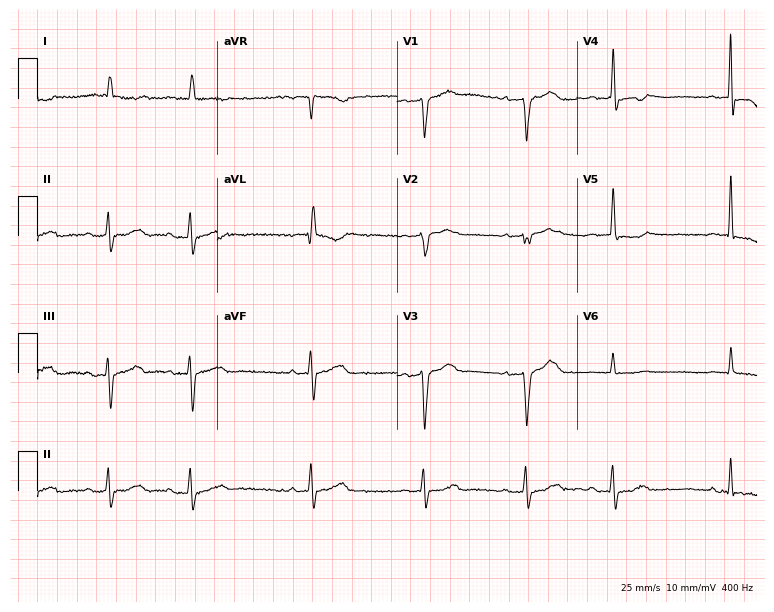
12-lead ECG (7.3-second recording at 400 Hz) from a male patient, 84 years old. Screened for six findings — first-degree AV block, right bundle branch block, left bundle branch block, sinus bradycardia, atrial fibrillation, sinus tachycardia — none is recorded.